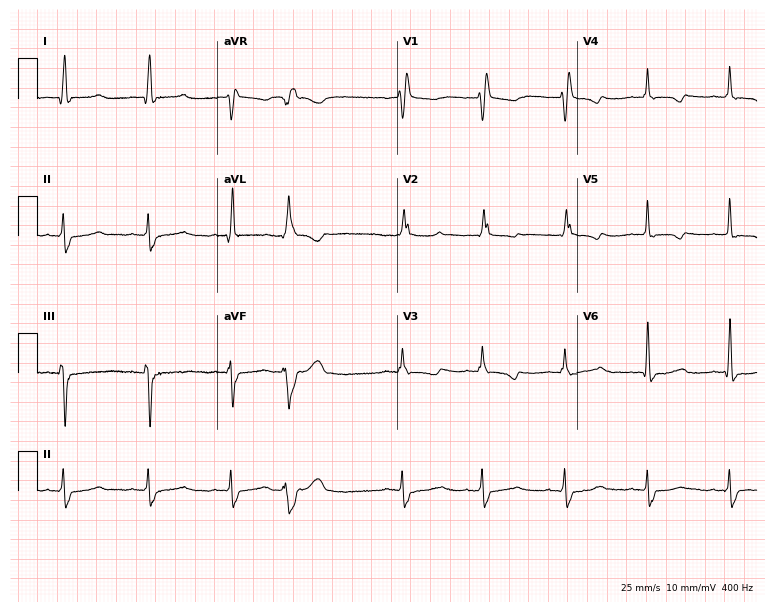
Resting 12-lead electrocardiogram (7.3-second recording at 400 Hz). Patient: a female, 31 years old. The tracing shows right bundle branch block (RBBB), atrial fibrillation (AF).